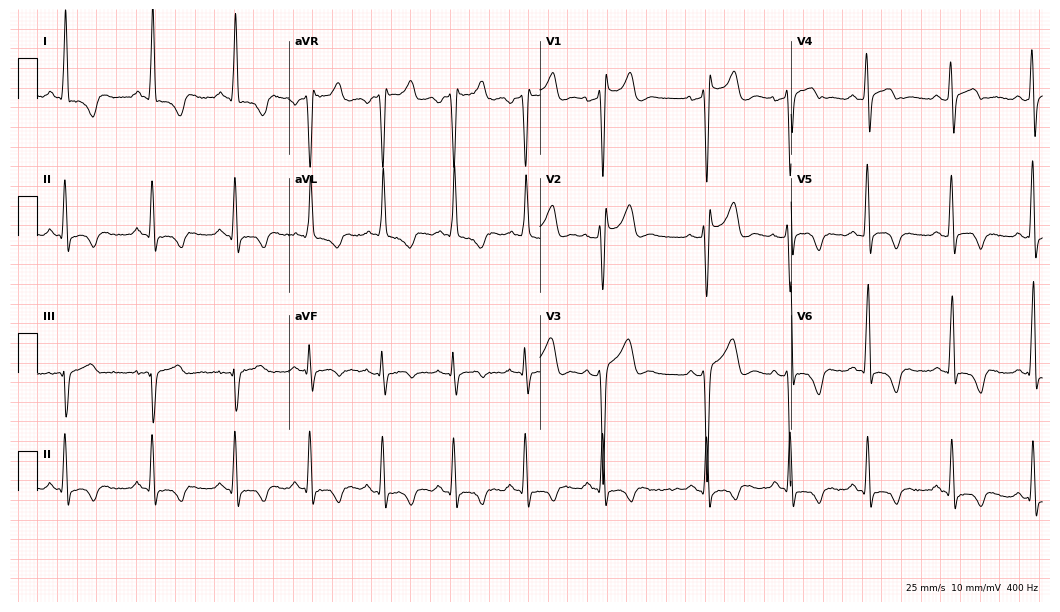
Standard 12-lead ECG recorded from a male, 21 years old. The tracing shows right bundle branch block.